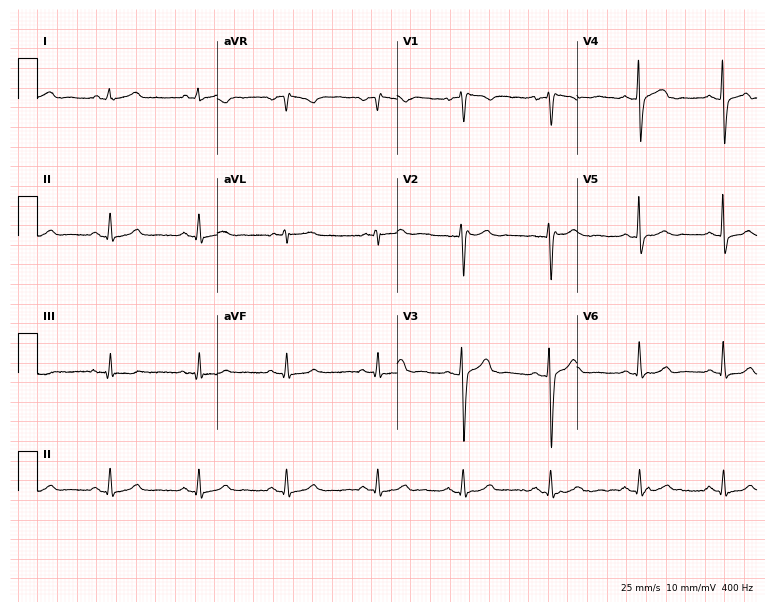
Electrocardiogram, a 31-year-old female. Of the six screened findings (first-degree AV block, right bundle branch block (RBBB), left bundle branch block (LBBB), sinus bradycardia, atrial fibrillation (AF), sinus tachycardia), none is recorded.